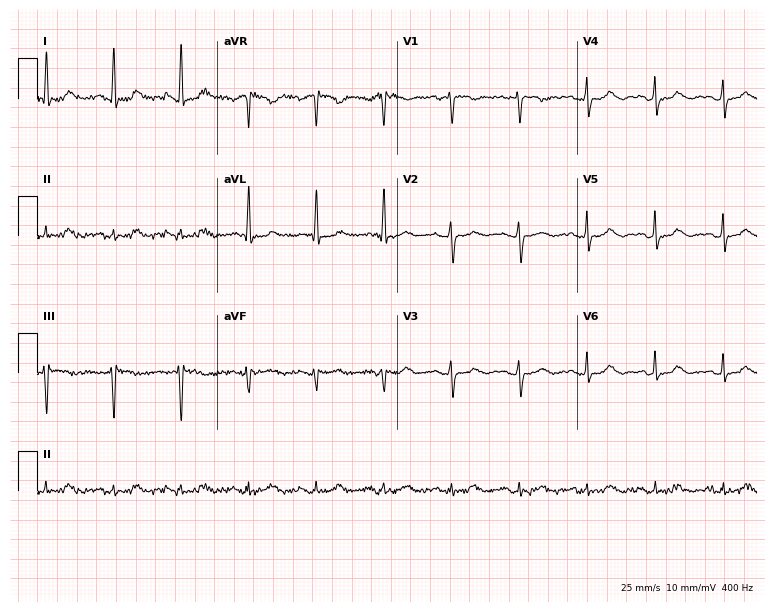
Resting 12-lead electrocardiogram. Patient: an 81-year-old woman. Read as a normal ECG.